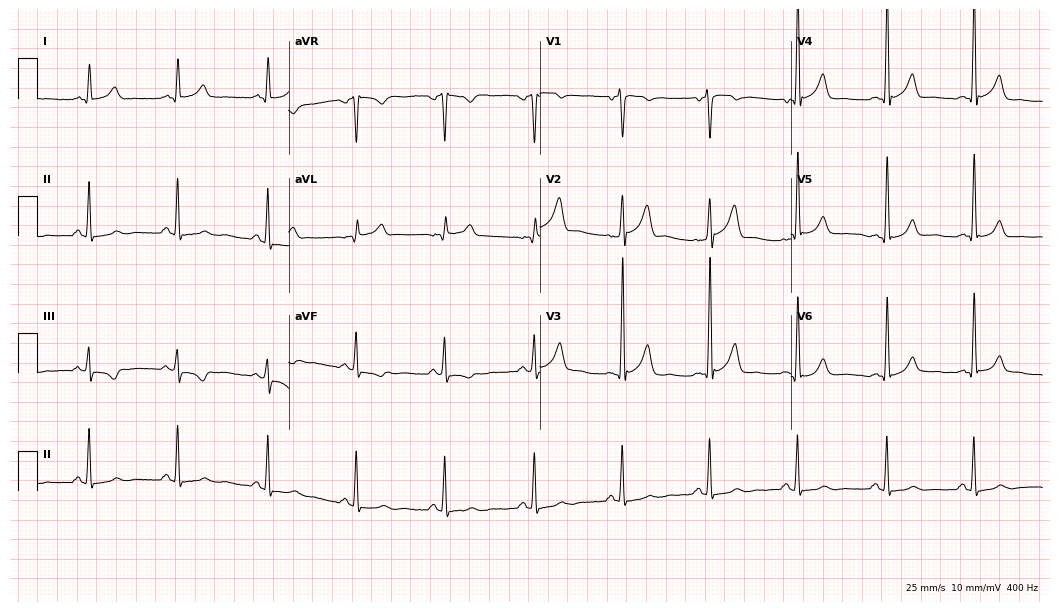
12-lead ECG (10.2-second recording at 400 Hz) from a 46-year-old man. Screened for six findings — first-degree AV block, right bundle branch block, left bundle branch block, sinus bradycardia, atrial fibrillation, sinus tachycardia — none is recorded.